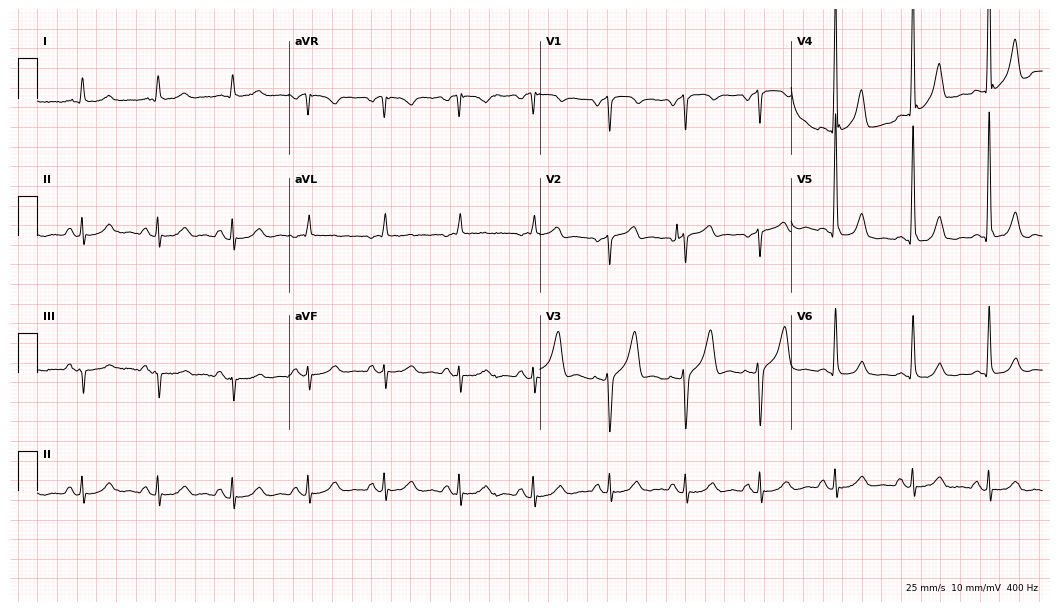
12-lead ECG from a 57-year-old male. No first-degree AV block, right bundle branch block, left bundle branch block, sinus bradycardia, atrial fibrillation or sinus tachycardia recorded for this tracing.